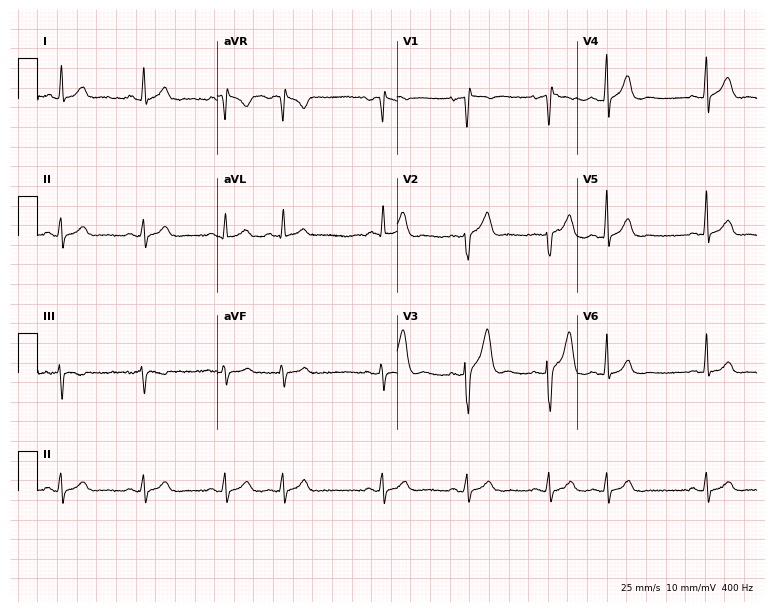
Electrocardiogram, a 54-year-old male patient. Of the six screened findings (first-degree AV block, right bundle branch block, left bundle branch block, sinus bradycardia, atrial fibrillation, sinus tachycardia), none is recorded.